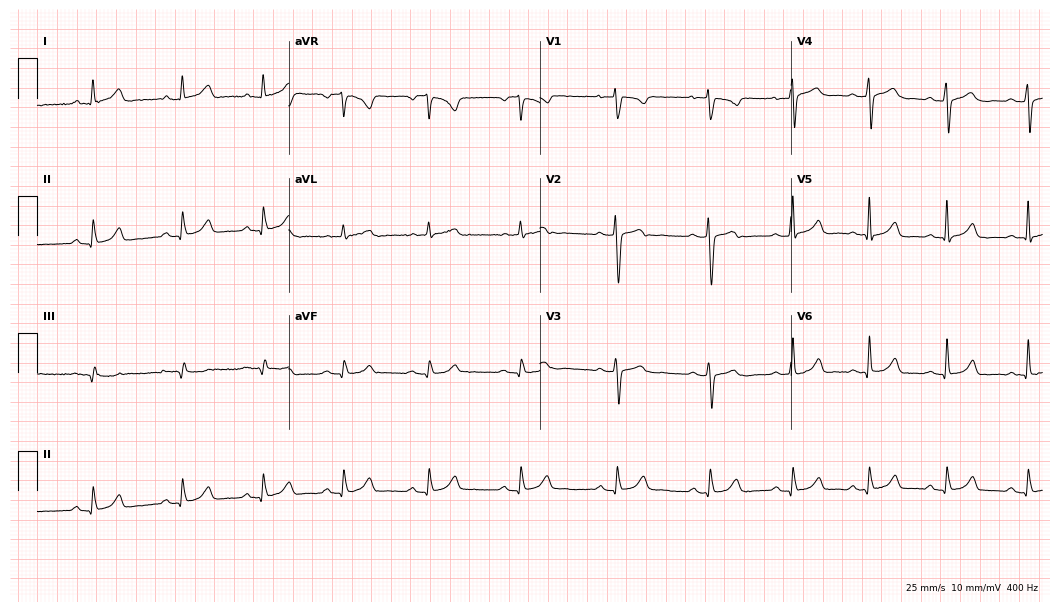
Resting 12-lead electrocardiogram (10.2-second recording at 400 Hz). Patient: a female, 46 years old. Read as a normal ECG.